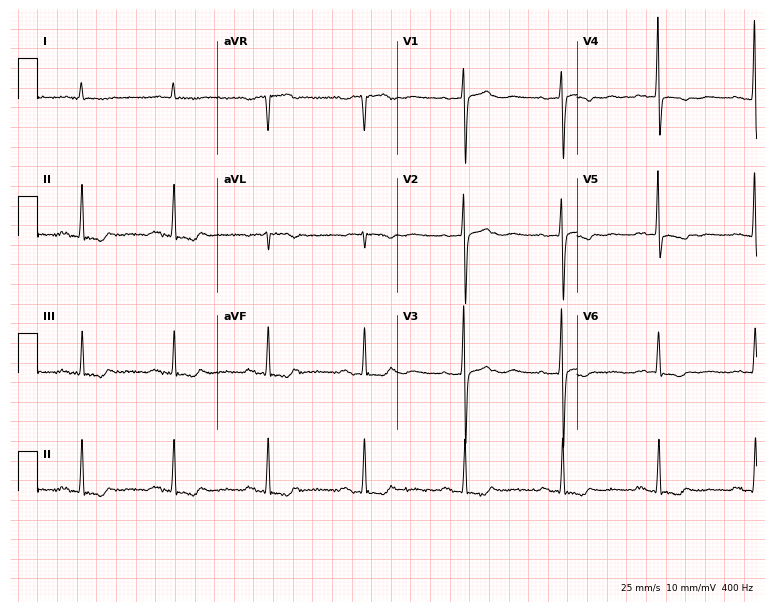
ECG — a 77-year-old male patient. Screened for six findings — first-degree AV block, right bundle branch block, left bundle branch block, sinus bradycardia, atrial fibrillation, sinus tachycardia — none is recorded. Other findings, if any, are not listed.